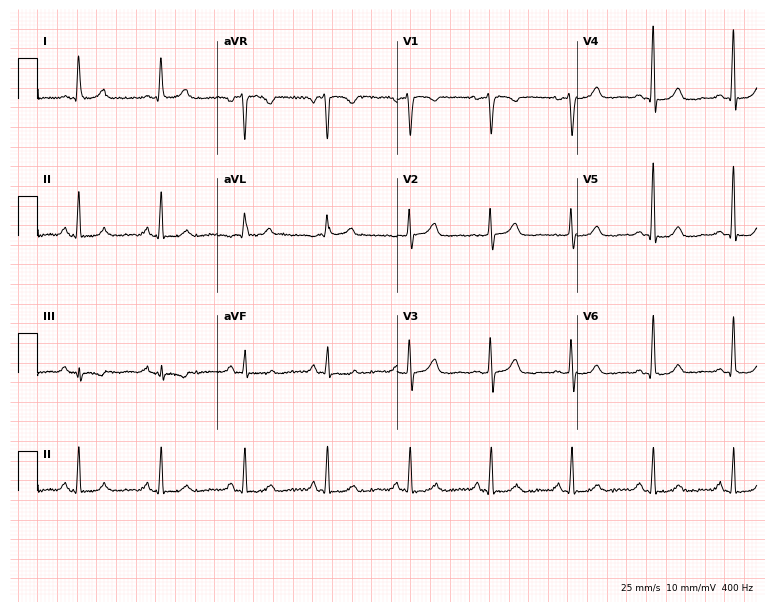
Electrocardiogram (7.3-second recording at 400 Hz), a 72-year-old female. Overall reading on record: normal ECG.